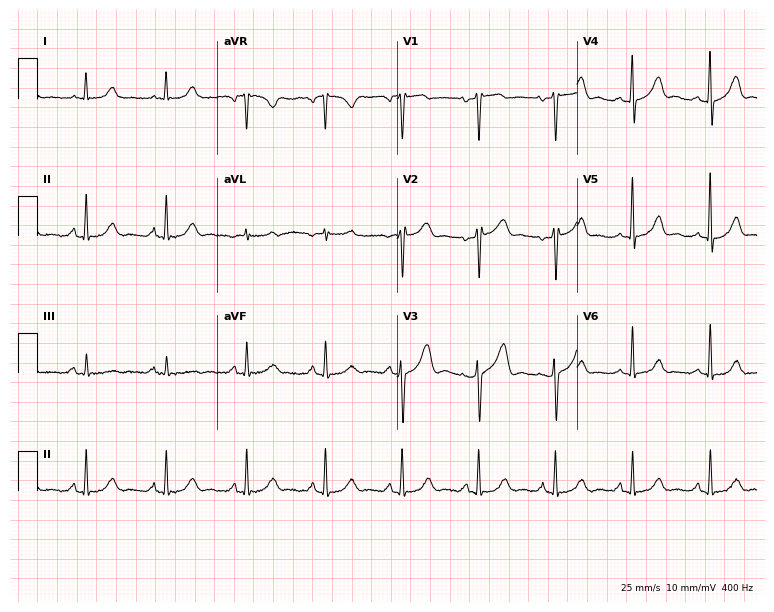
ECG (7.3-second recording at 400 Hz) — a 54-year-old female patient. Screened for six findings — first-degree AV block, right bundle branch block, left bundle branch block, sinus bradycardia, atrial fibrillation, sinus tachycardia — none is recorded.